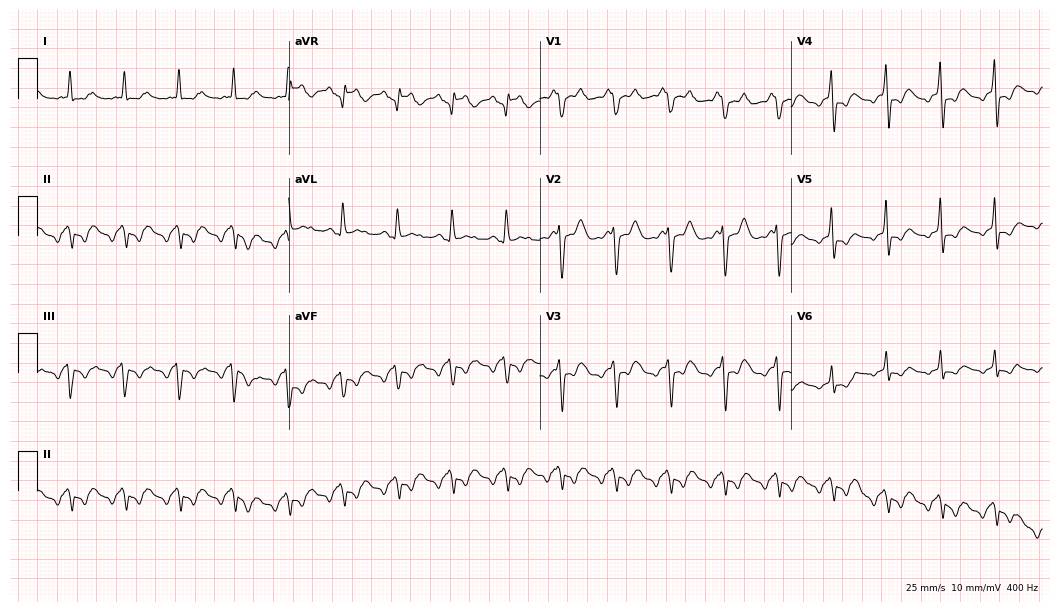
Standard 12-lead ECG recorded from a 70-year-old female (10.2-second recording at 400 Hz). None of these six findings is recorded: first-degree AV block, right bundle branch block, left bundle branch block, sinus bradycardia, atrial fibrillation, sinus tachycardia.